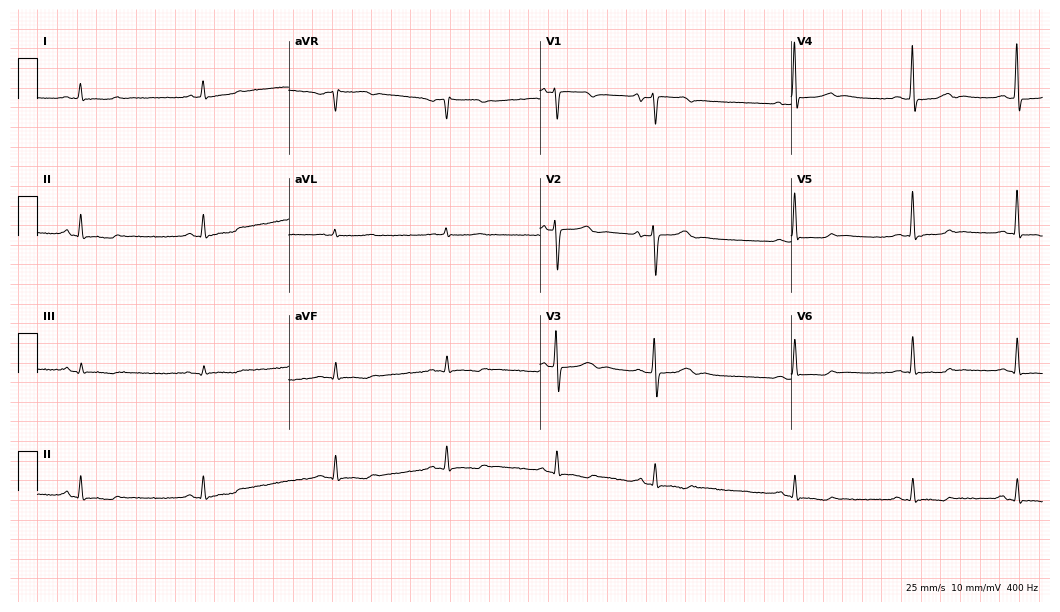
Electrocardiogram (10.2-second recording at 400 Hz), a 76-year-old female patient. Interpretation includes sinus bradycardia (a sinus rate of 50 beats per minute or less).